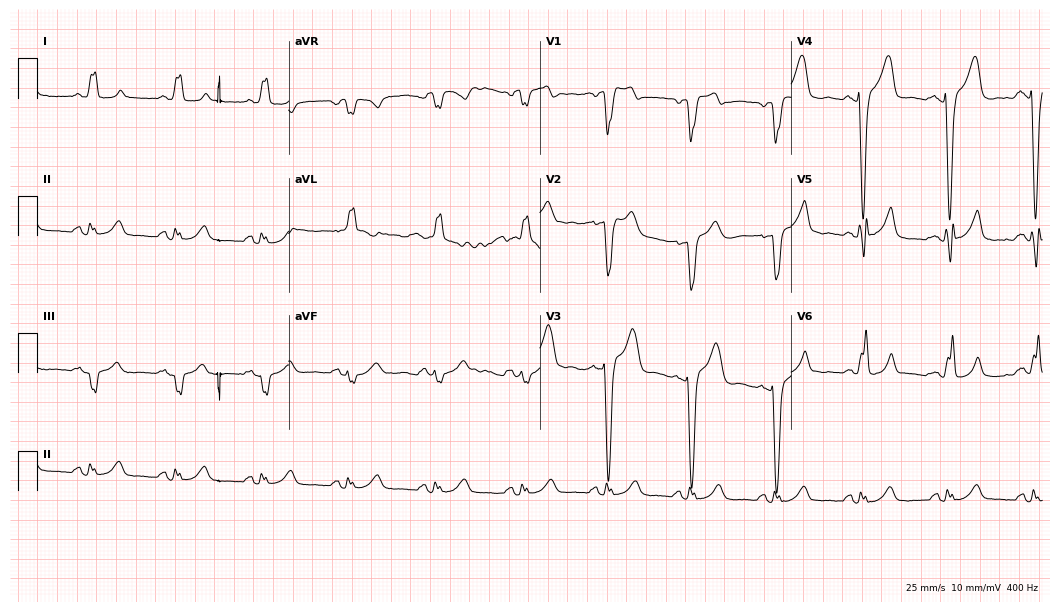
12-lead ECG from a man, 62 years old (10.2-second recording at 400 Hz). Shows left bundle branch block.